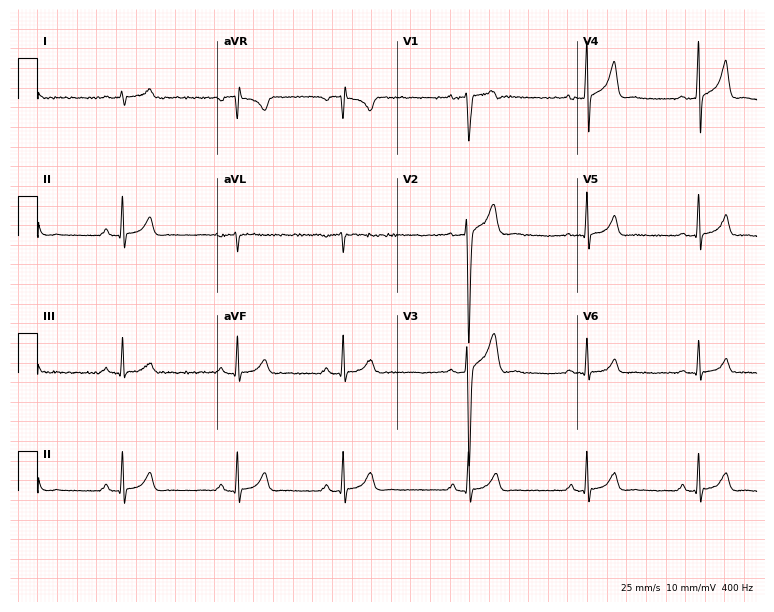
Resting 12-lead electrocardiogram (7.3-second recording at 400 Hz). Patient: a 27-year-old male. None of these six findings is recorded: first-degree AV block, right bundle branch block, left bundle branch block, sinus bradycardia, atrial fibrillation, sinus tachycardia. Only these six findings were labelled.